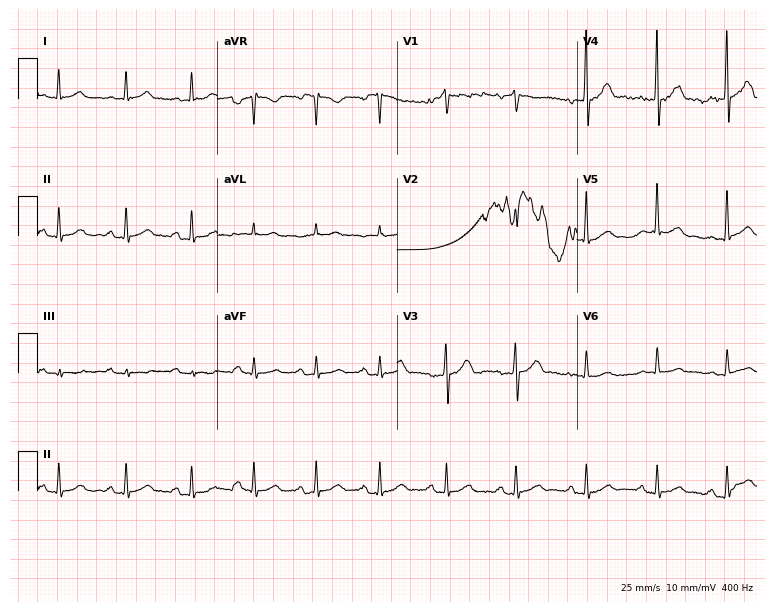
Resting 12-lead electrocardiogram. Patient: a 64-year-old male. Read as a normal ECG.